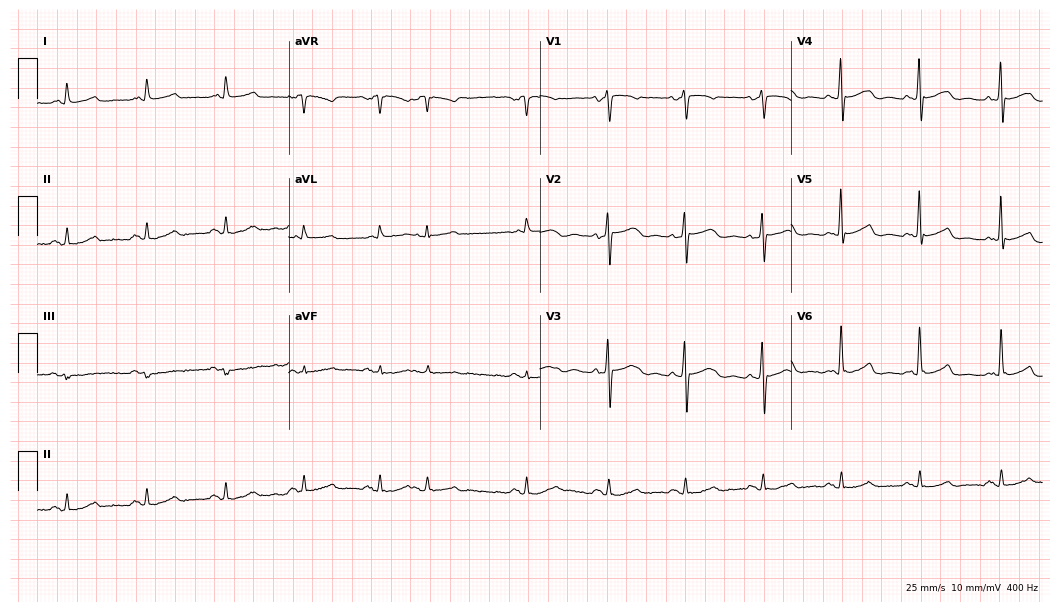
12-lead ECG from a man, 82 years old. Screened for six findings — first-degree AV block, right bundle branch block, left bundle branch block, sinus bradycardia, atrial fibrillation, sinus tachycardia — none is recorded. Only these six findings were labelled.